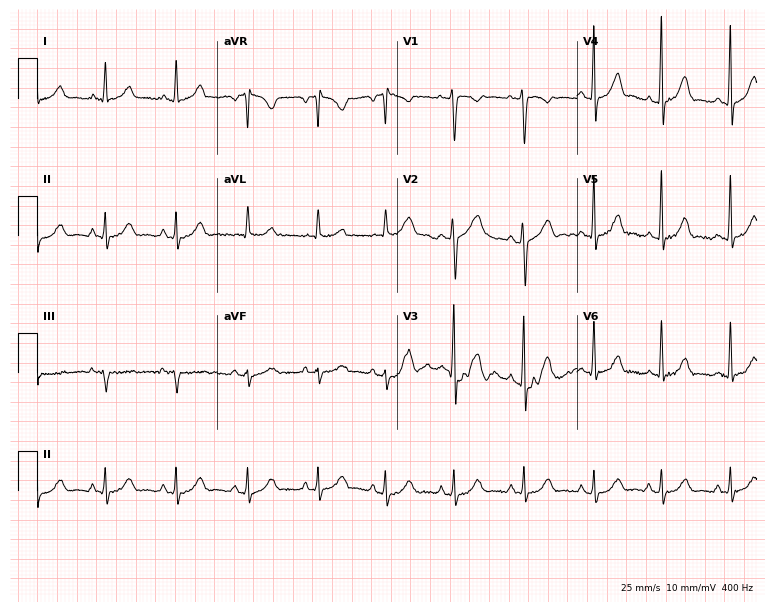
Standard 12-lead ECG recorded from a female patient, 41 years old (7.3-second recording at 400 Hz). Read as a normal ECG.